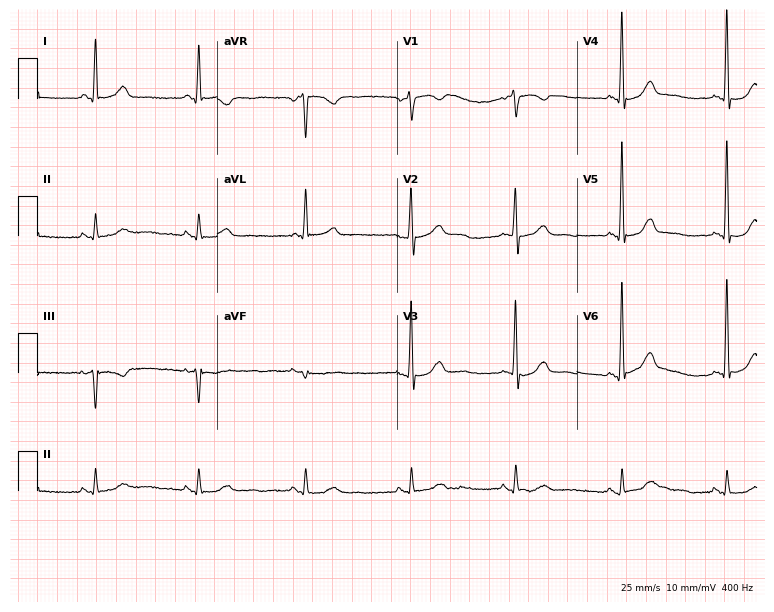
Standard 12-lead ECG recorded from a 72-year-old female patient. Read as a normal ECG.